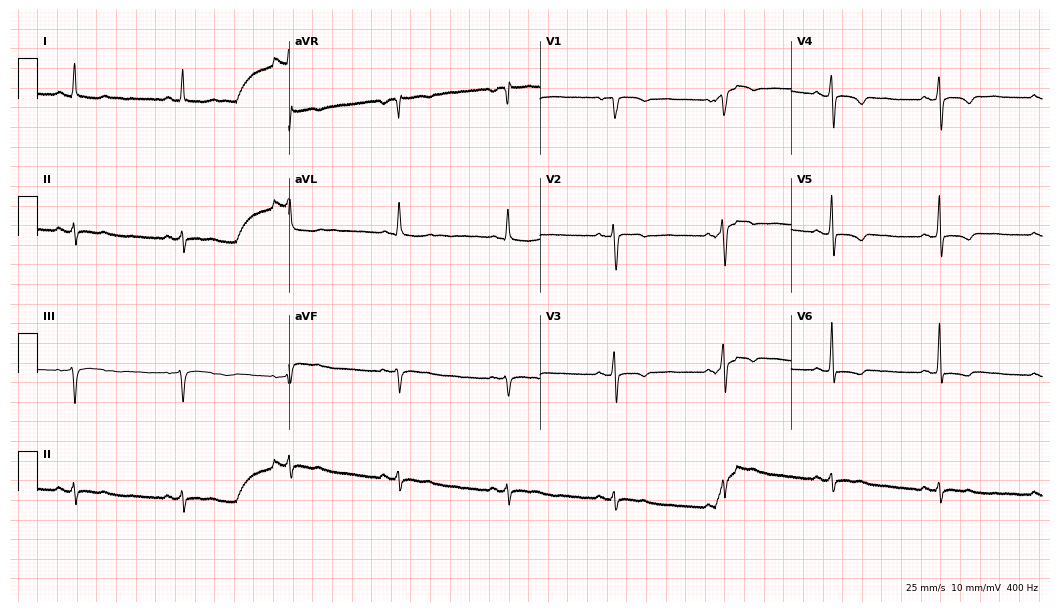
12-lead ECG from a 59-year-old female patient (10.2-second recording at 400 Hz). No first-degree AV block, right bundle branch block (RBBB), left bundle branch block (LBBB), sinus bradycardia, atrial fibrillation (AF) or sinus tachycardia recorded for this tracing.